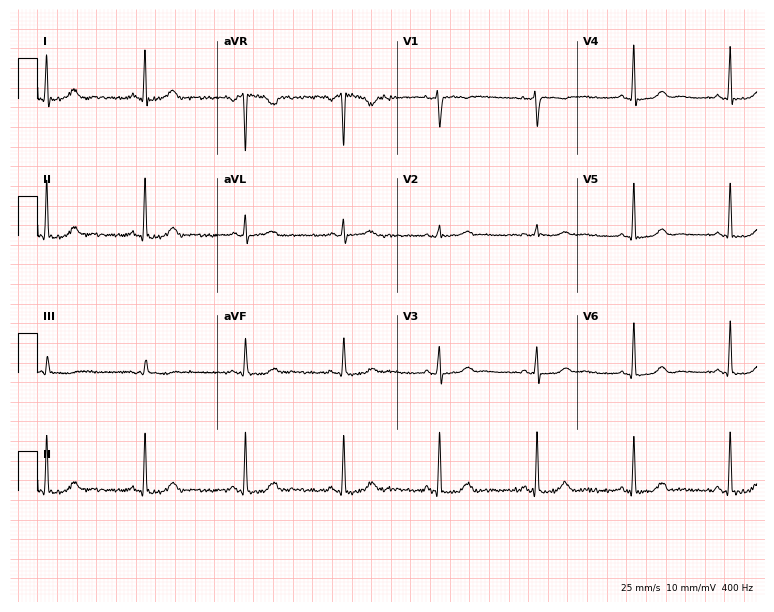
ECG (7.3-second recording at 400 Hz) — a female, 27 years old. Labelled as a normal ECG.